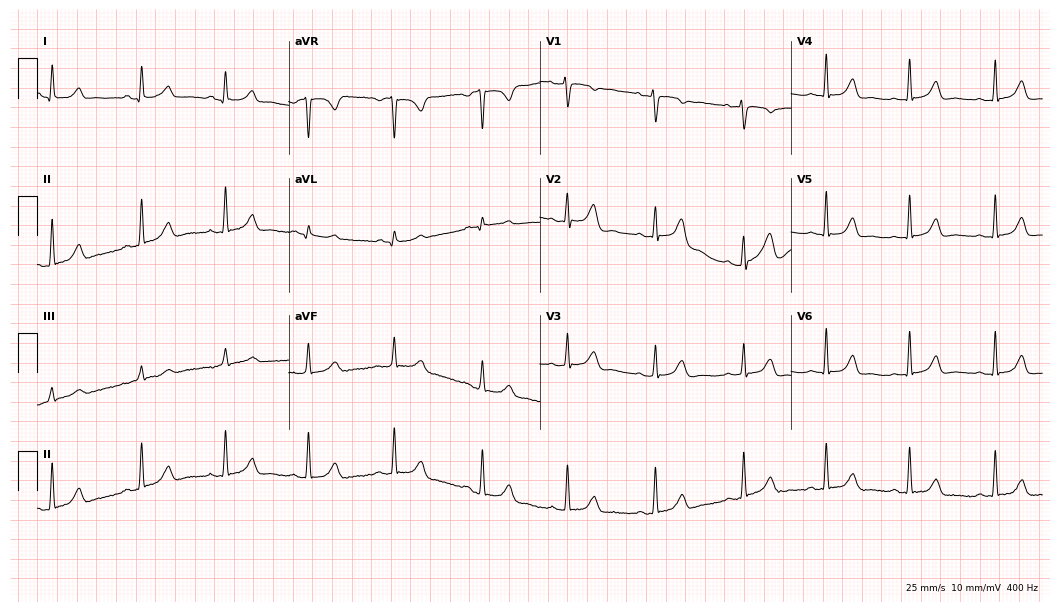
12-lead ECG from a 35-year-old female. Labelled as a normal ECG.